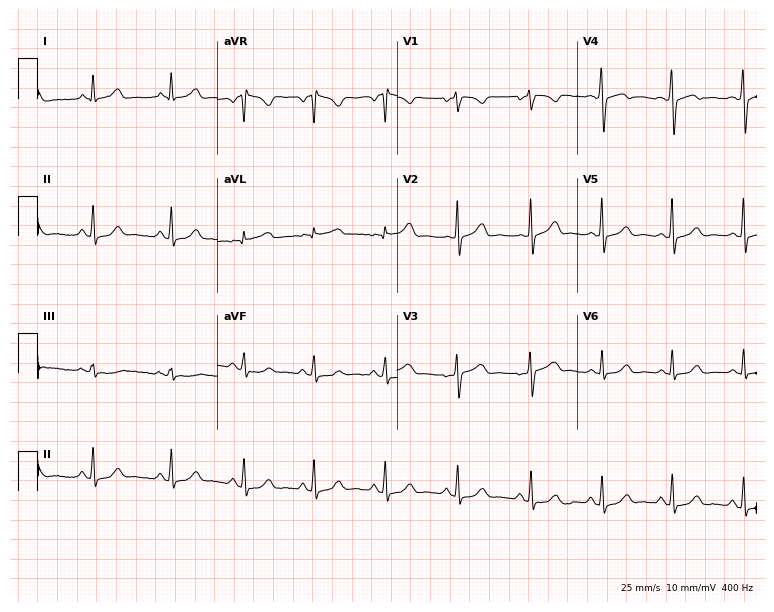
ECG — a female patient, 34 years old. Screened for six findings — first-degree AV block, right bundle branch block, left bundle branch block, sinus bradycardia, atrial fibrillation, sinus tachycardia — none is recorded.